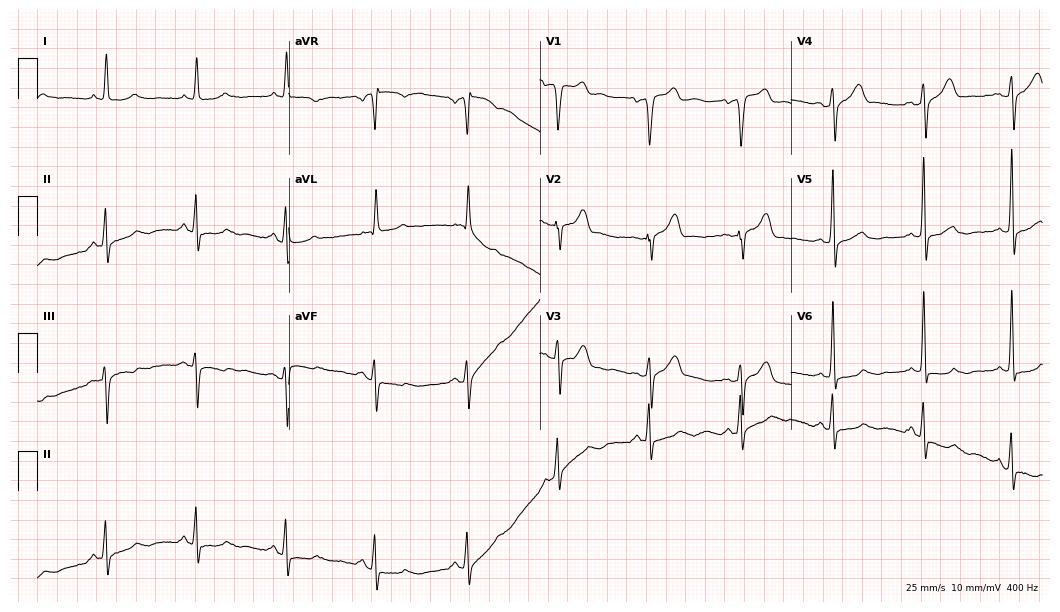
12-lead ECG from a 69-year-old man. Labelled as a normal ECG.